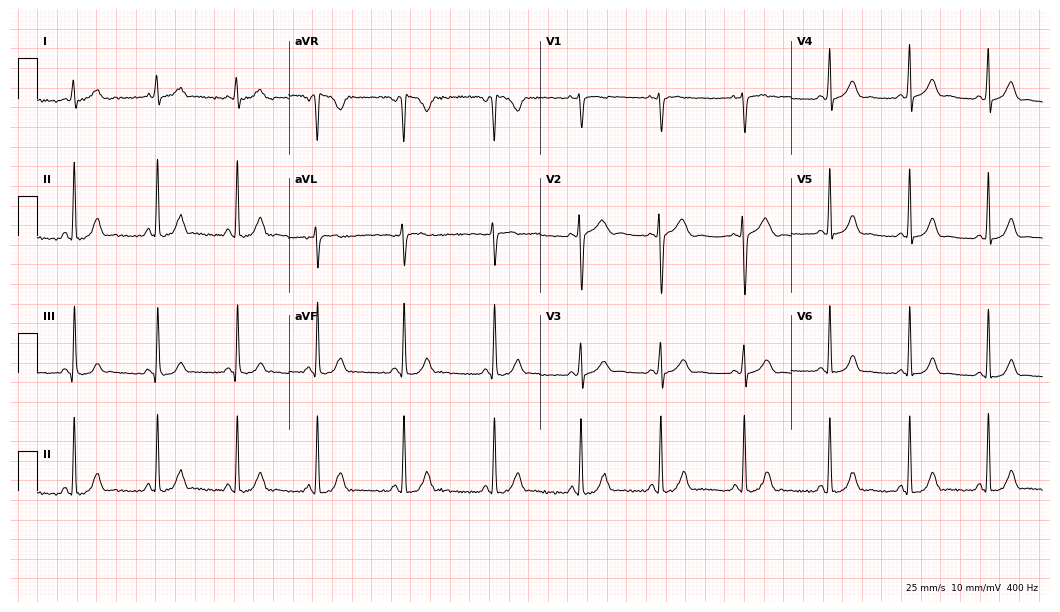
Resting 12-lead electrocardiogram (10.2-second recording at 400 Hz). Patient: a woman, 18 years old. Read as a normal ECG.